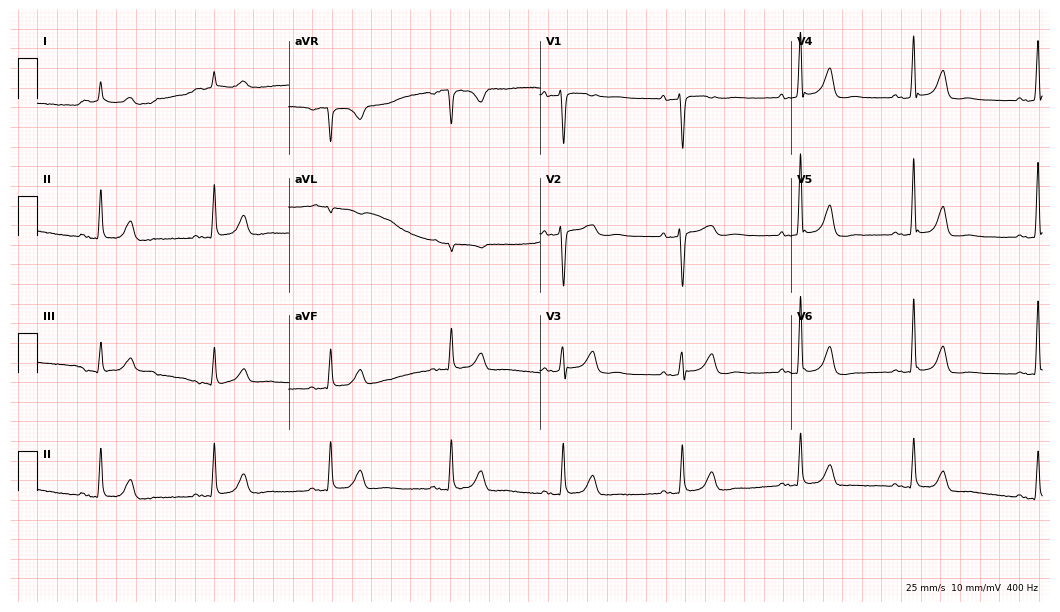
Resting 12-lead electrocardiogram. Patient: a female, 66 years old. None of these six findings is recorded: first-degree AV block, right bundle branch block, left bundle branch block, sinus bradycardia, atrial fibrillation, sinus tachycardia. Only these six findings were labelled.